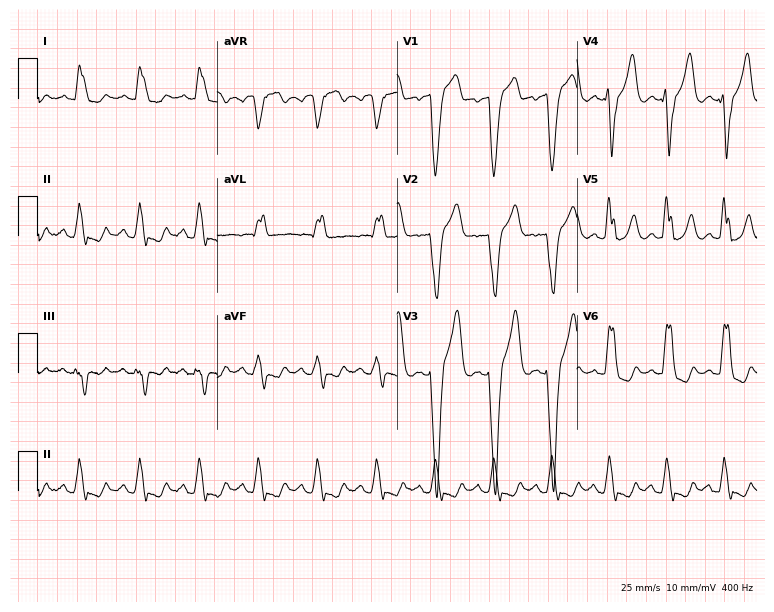
Standard 12-lead ECG recorded from a male, 66 years old (7.3-second recording at 400 Hz). The tracing shows left bundle branch block, sinus tachycardia (a sinus rate of 100 beats per minute or more).